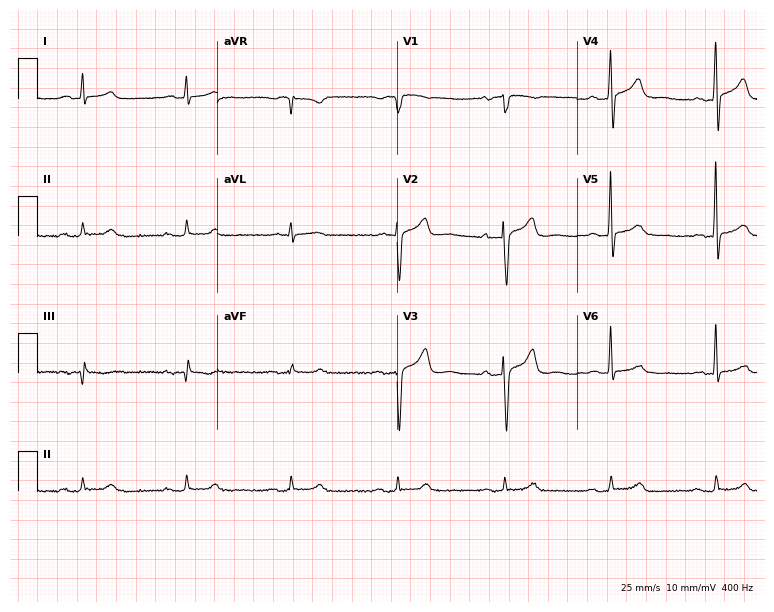
ECG — a 71-year-old man. Labelled as a normal ECG.